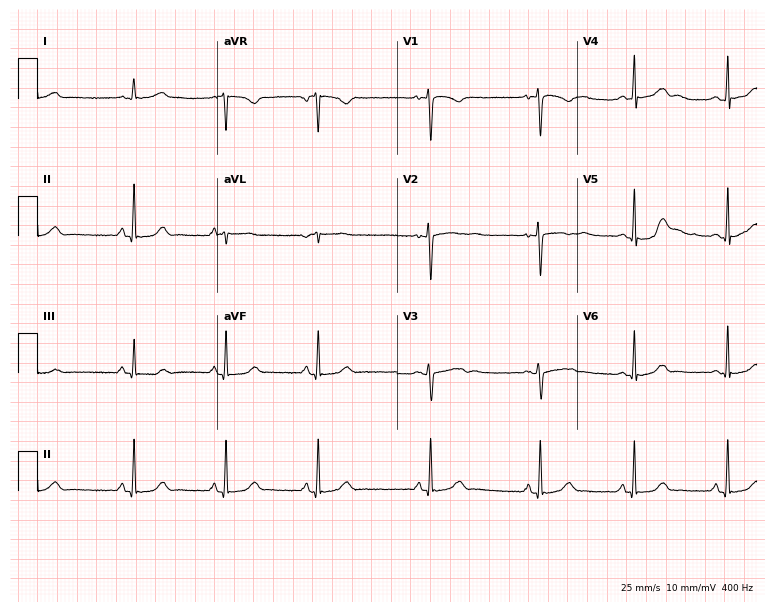
Electrocardiogram (7.3-second recording at 400 Hz), an 18-year-old woman. Overall reading on record: normal ECG.